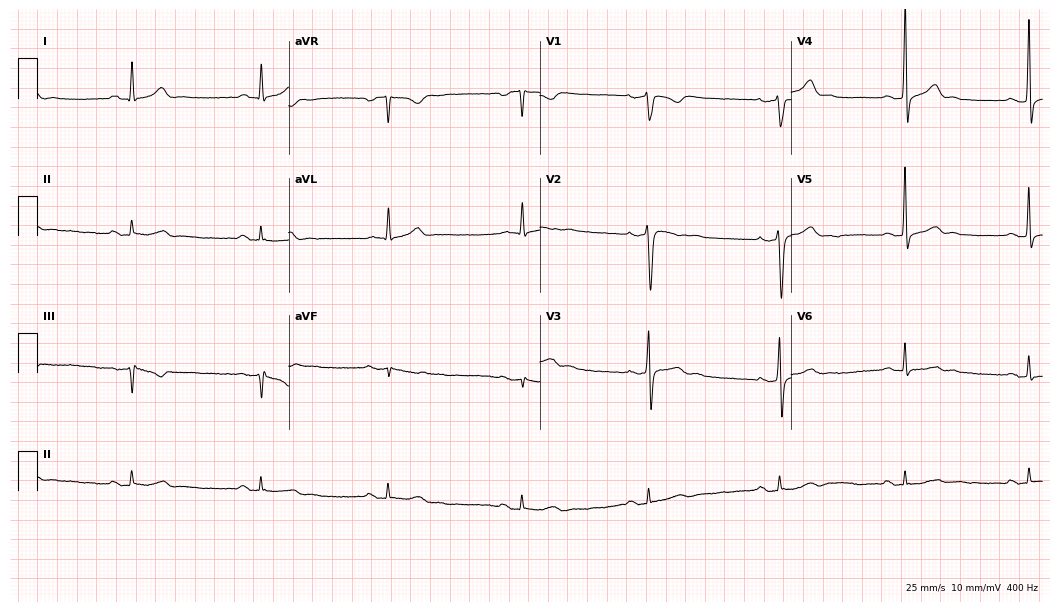
Electrocardiogram (10.2-second recording at 400 Hz), a 44-year-old male patient. Interpretation includes sinus bradycardia (a sinus rate of 50 beats per minute or less).